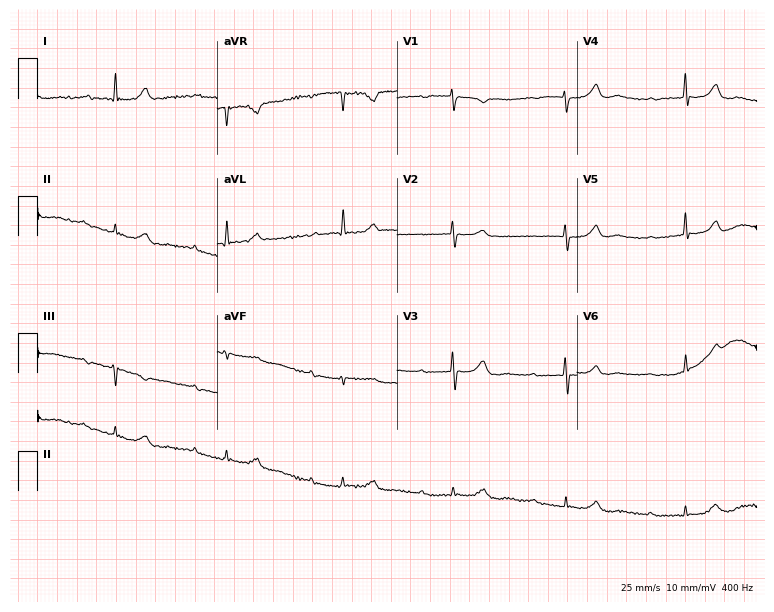
ECG (7.3-second recording at 400 Hz) — a female patient, 75 years old. Findings include first-degree AV block.